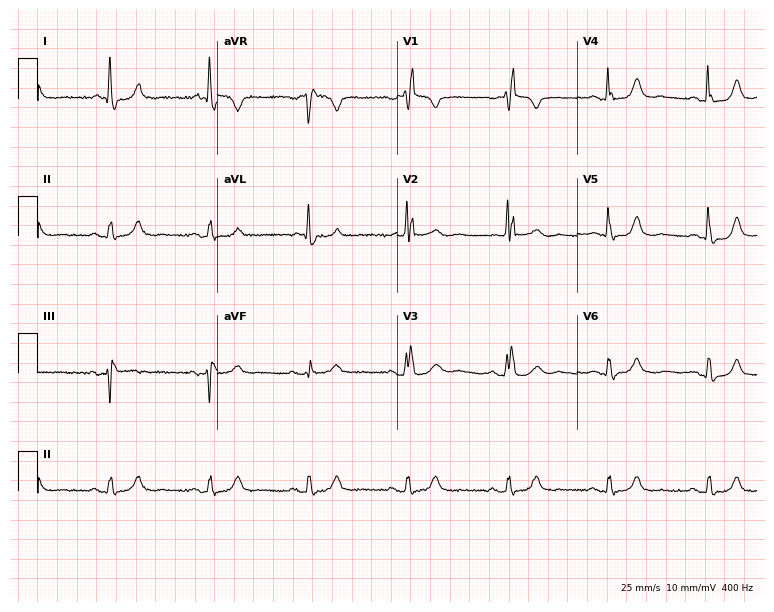
Electrocardiogram, a 78-year-old male. Interpretation includes right bundle branch block.